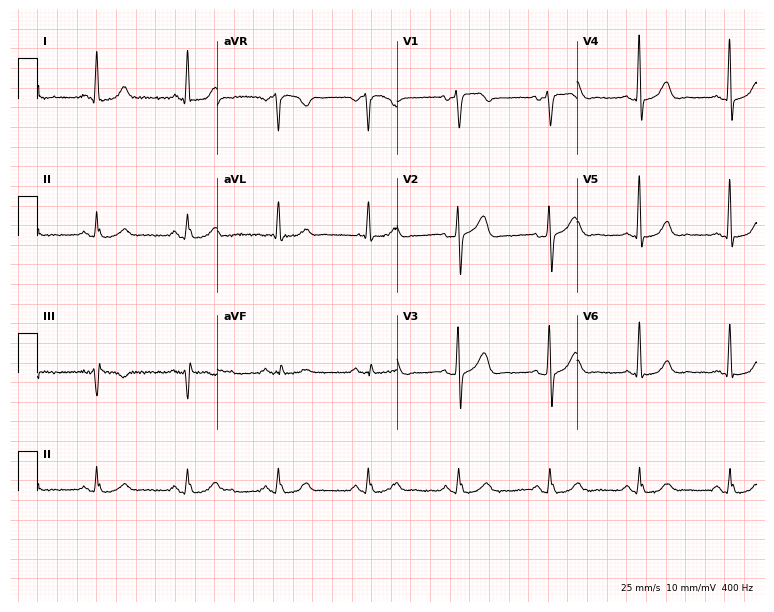
ECG (7.3-second recording at 400 Hz) — a 71-year-old male patient. Labelled as a normal ECG.